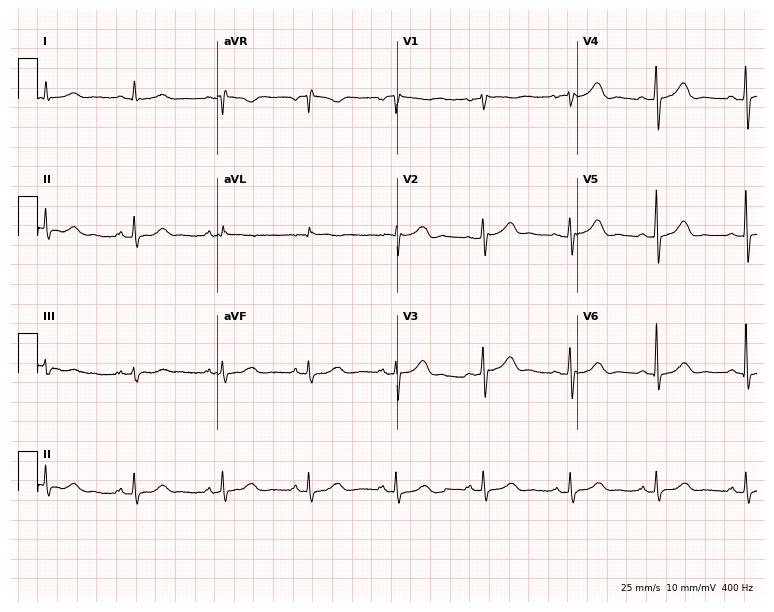
12-lead ECG from a 61-year-old female patient. Screened for six findings — first-degree AV block, right bundle branch block, left bundle branch block, sinus bradycardia, atrial fibrillation, sinus tachycardia — none is recorded.